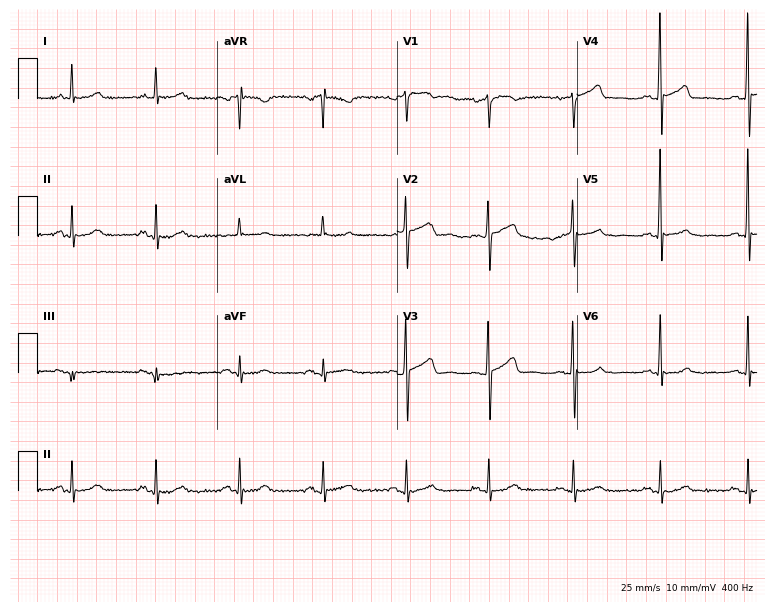
Standard 12-lead ECG recorded from a male, 74 years old (7.3-second recording at 400 Hz). None of these six findings is recorded: first-degree AV block, right bundle branch block (RBBB), left bundle branch block (LBBB), sinus bradycardia, atrial fibrillation (AF), sinus tachycardia.